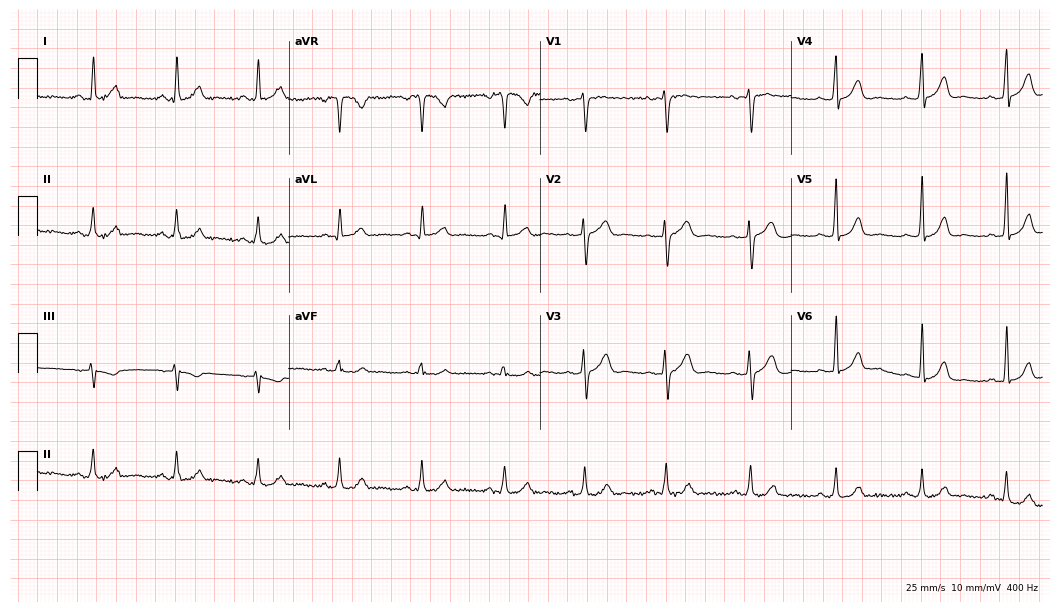
Standard 12-lead ECG recorded from a 41-year-old woman (10.2-second recording at 400 Hz). Read as a normal ECG.